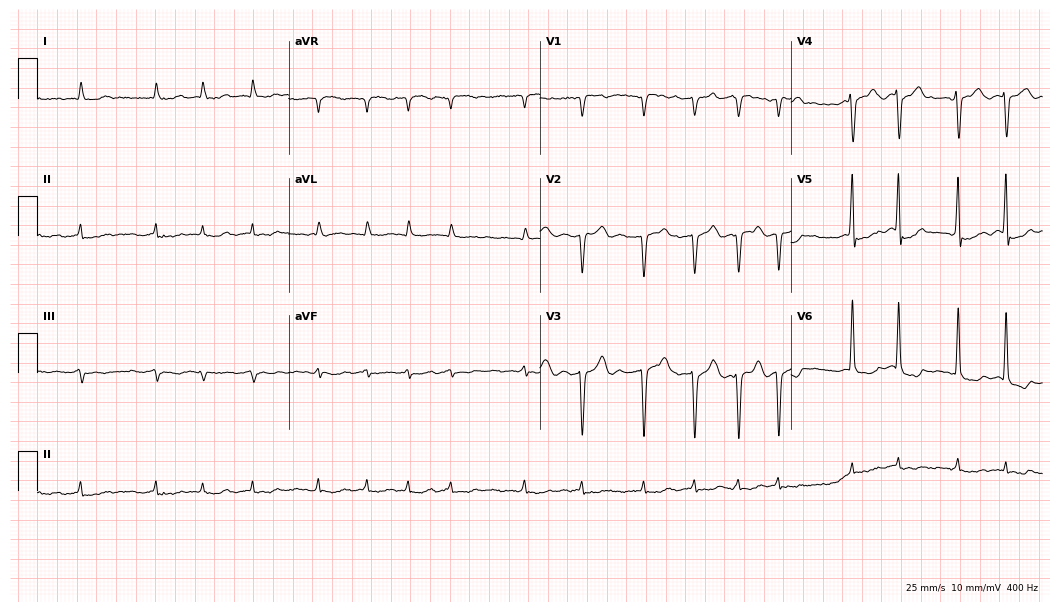
12-lead ECG (10.2-second recording at 400 Hz) from a 70-year-old male. Findings include atrial fibrillation.